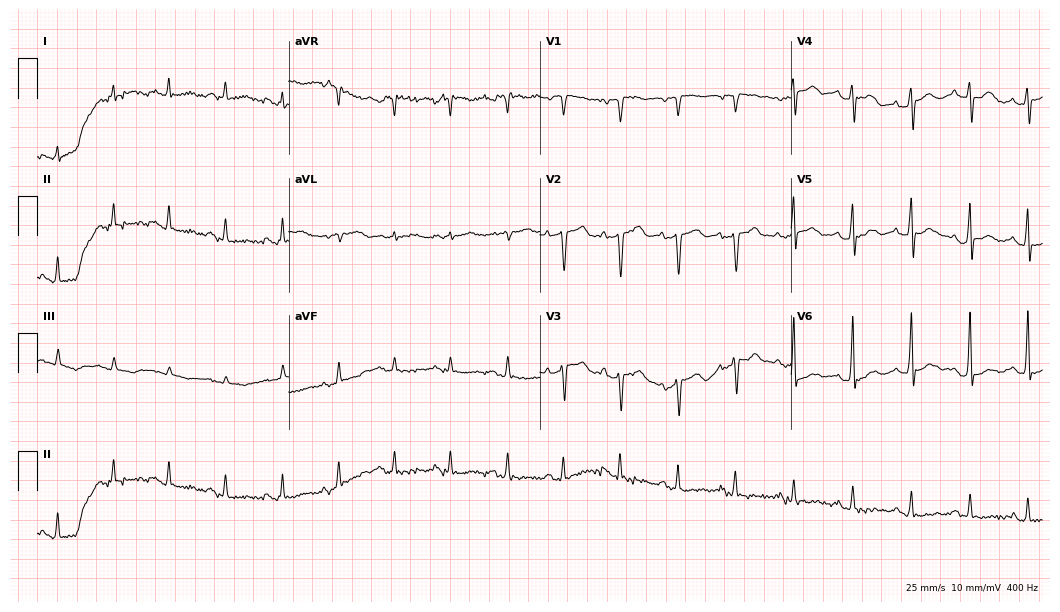
12-lead ECG (10.2-second recording at 400 Hz) from a 77-year-old man. Screened for six findings — first-degree AV block, right bundle branch block (RBBB), left bundle branch block (LBBB), sinus bradycardia, atrial fibrillation (AF), sinus tachycardia — none is recorded.